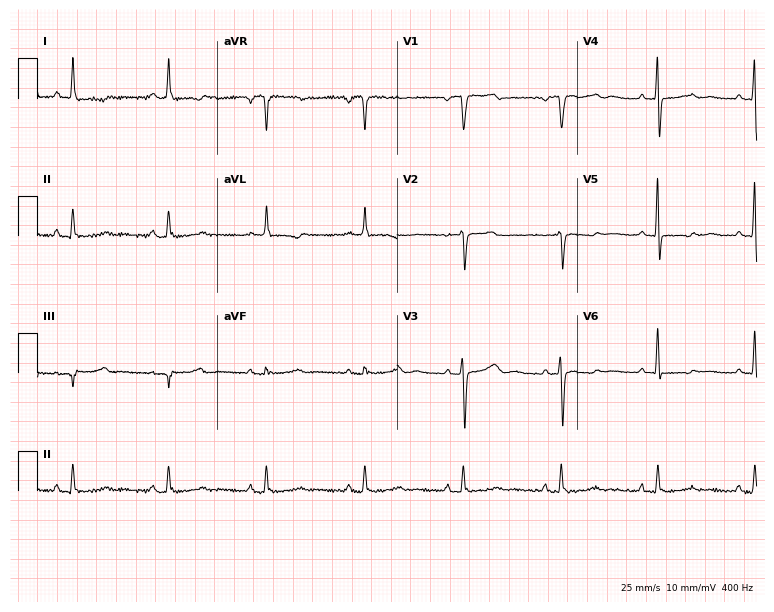
12-lead ECG from a 57-year-old female patient (7.3-second recording at 400 Hz). No first-degree AV block, right bundle branch block, left bundle branch block, sinus bradycardia, atrial fibrillation or sinus tachycardia recorded for this tracing.